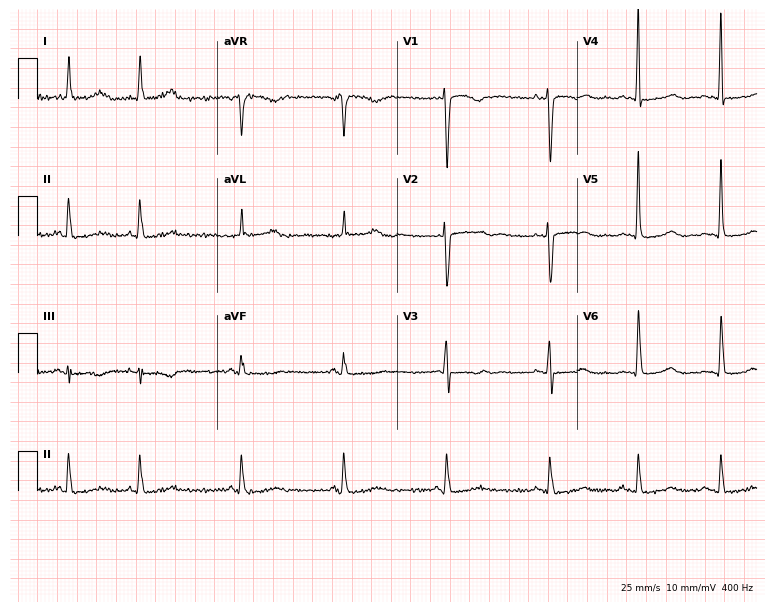
12-lead ECG from a female patient, 69 years old (7.3-second recording at 400 Hz). No first-degree AV block, right bundle branch block, left bundle branch block, sinus bradycardia, atrial fibrillation or sinus tachycardia recorded for this tracing.